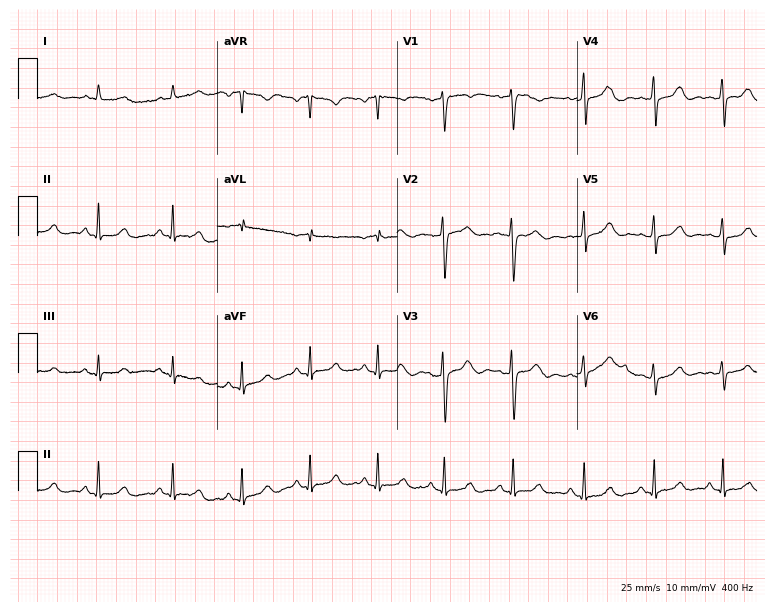
Electrocardiogram (7.3-second recording at 400 Hz), a 48-year-old woman. Overall reading on record: normal ECG.